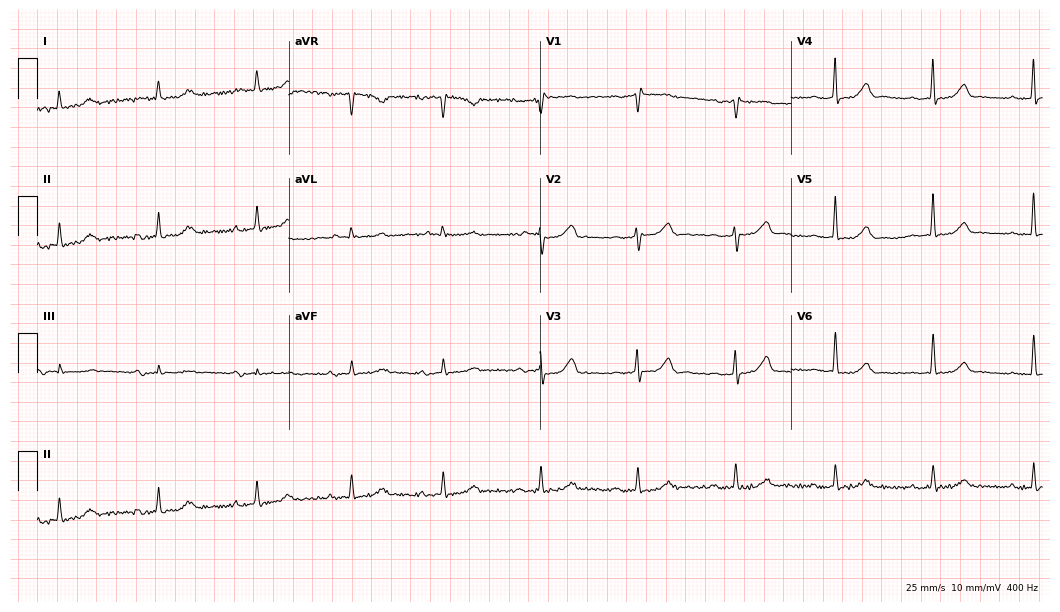
Standard 12-lead ECG recorded from an 83-year-old female (10.2-second recording at 400 Hz). Read as a normal ECG.